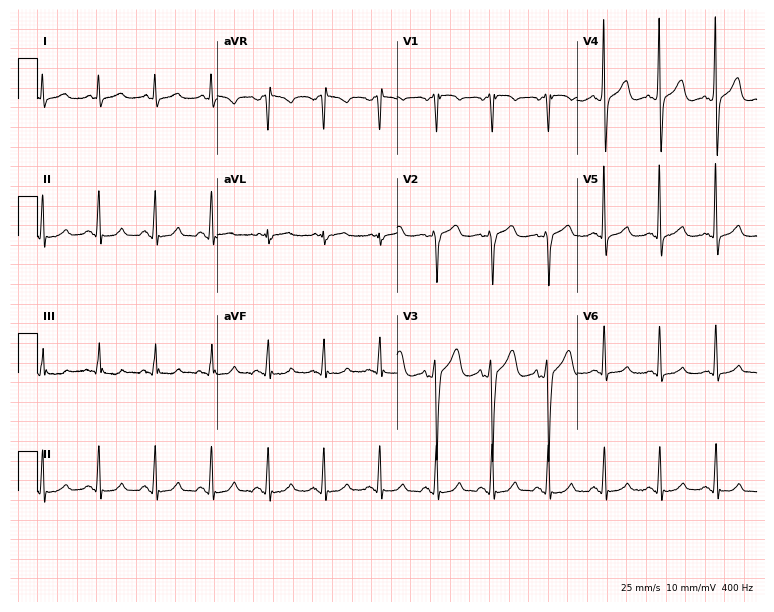
12-lead ECG from a male, 61 years old (7.3-second recording at 400 Hz). Shows sinus tachycardia (a sinus rate of 100 beats per minute or more).